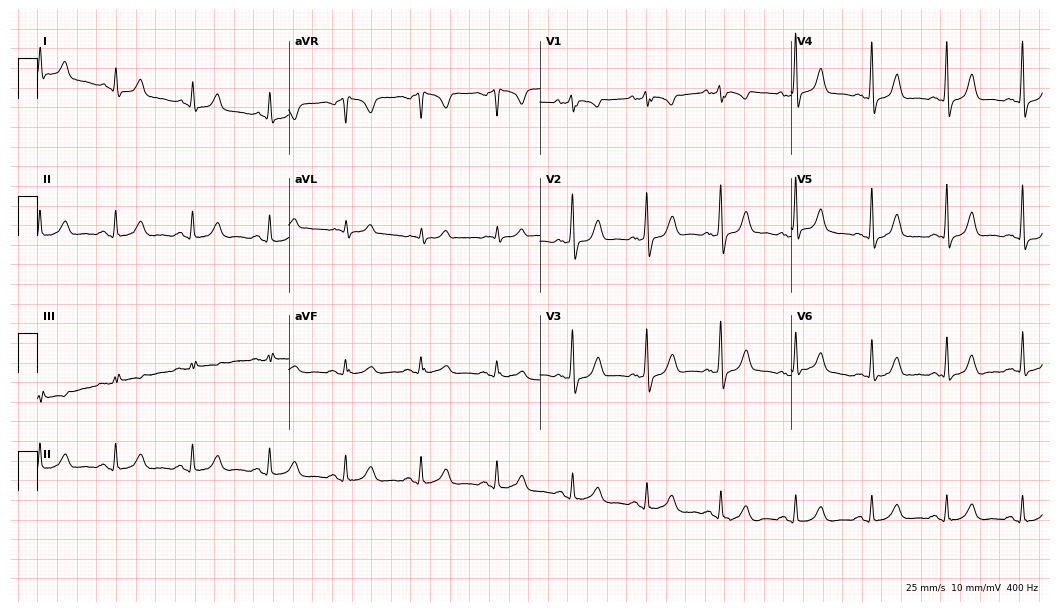
12-lead ECG from a man, 62 years old. No first-degree AV block, right bundle branch block (RBBB), left bundle branch block (LBBB), sinus bradycardia, atrial fibrillation (AF) or sinus tachycardia recorded for this tracing.